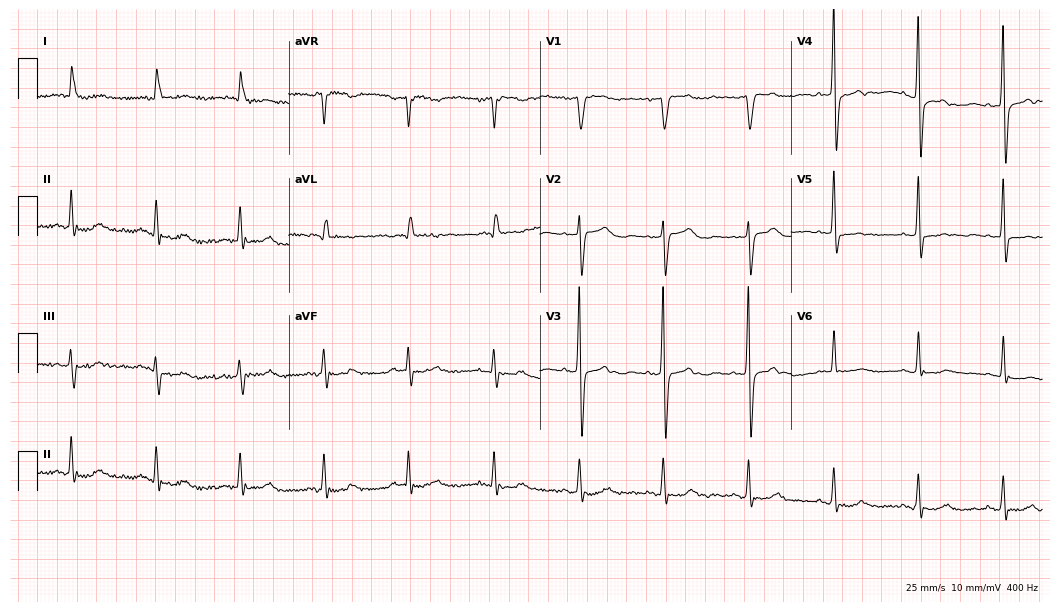
Standard 12-lead ECG recorded from a female patient, 79 years old (10.2-second recording at 400 Hz). None of these six findings is recorded: first-degree AV block, right bundle branch block, left bundle branch block, sinus bradycardia, atrial fibrillation, sinus tachycardia.